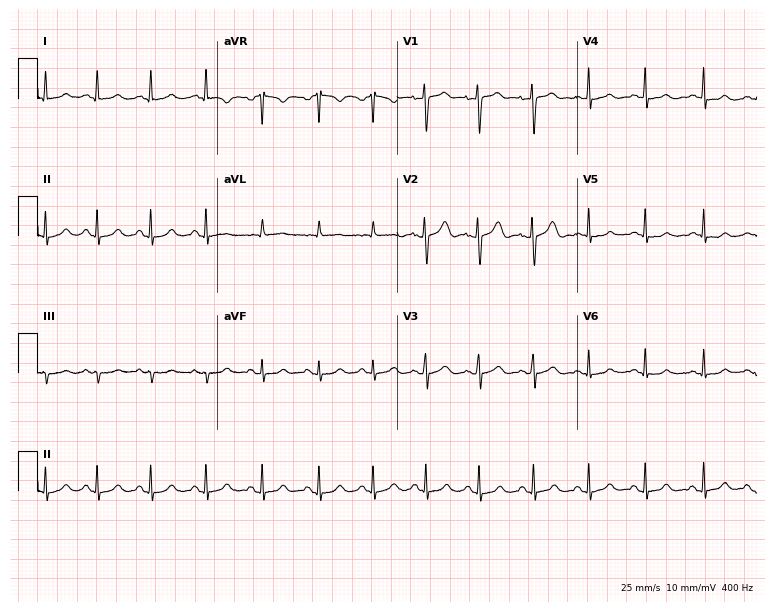
ECG — a female, 36 years old. Findings include sinus tachycardia (a sinus rate of 100 beats per minute or more).